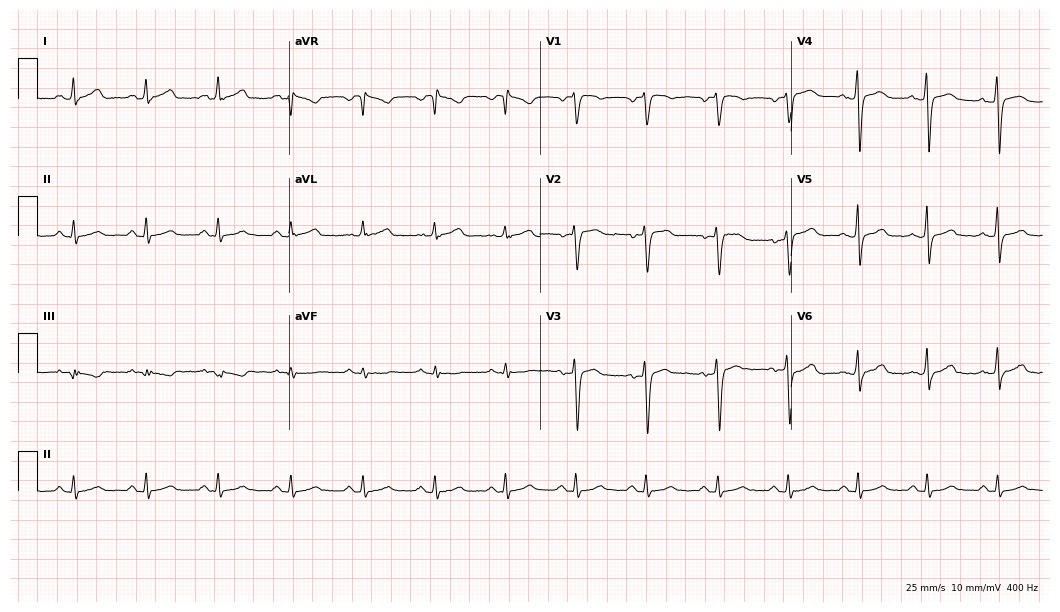
12-lead ECG from a female patient, 42 years old. Recorded interpretation: within normal limits.